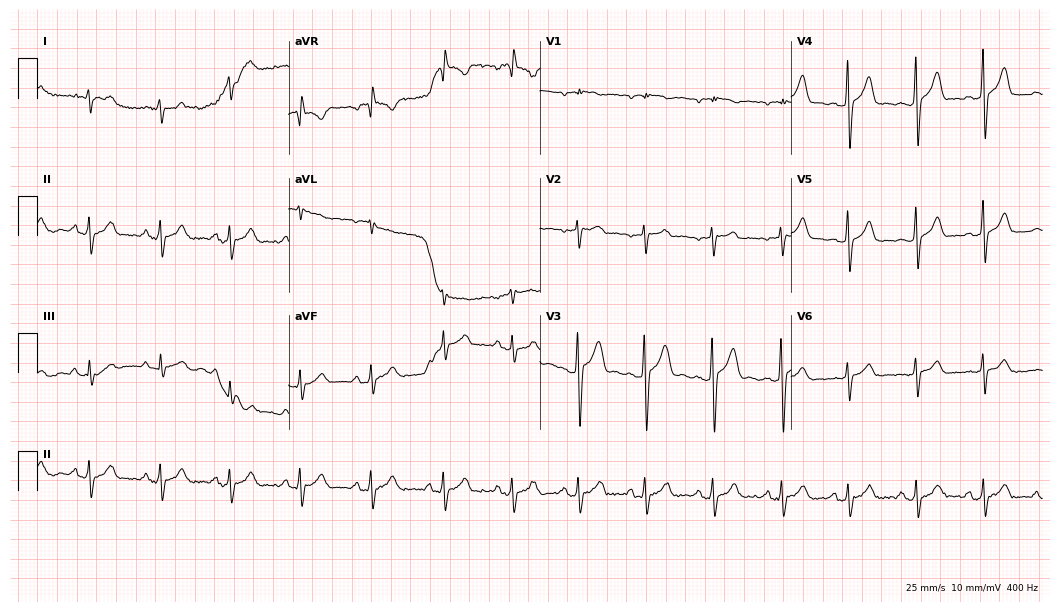
Standard 12-lead ECG recorded from a 30-year-old male patient (10.2-second recording at 400 Hz). Read as a normal ECG.